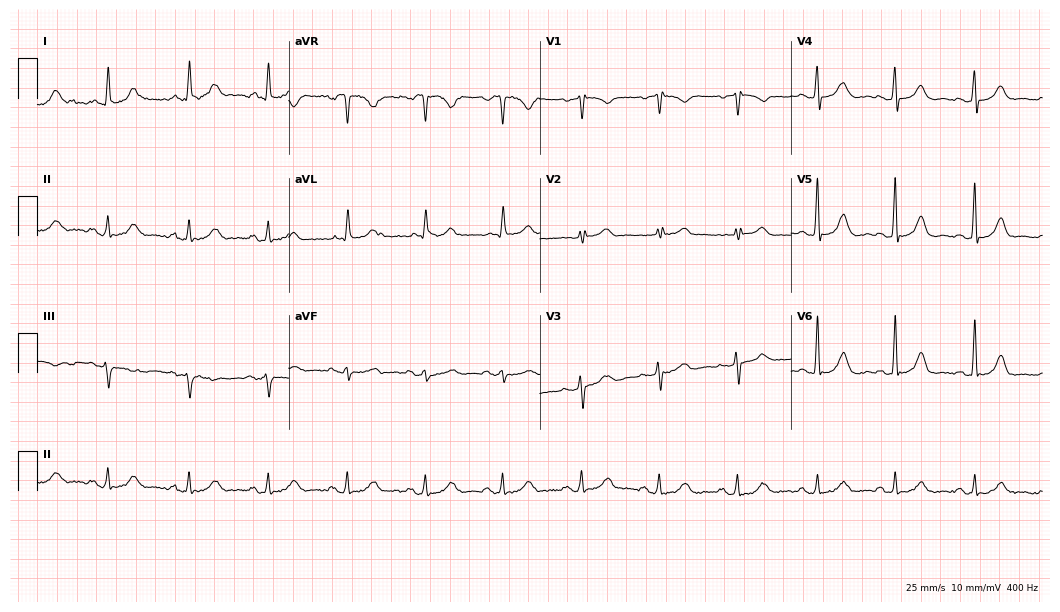
12-lead ECG (10.2-second recording at 400 Hz) from a 59-year-old female patient. Screened for six findings — first-degree AV block, right bundle branch block, left bundle branch block, sinus bradycardia, atrial fibrillation, sinus tachycardia — none is recorded. Other findings, if any, are not listed.